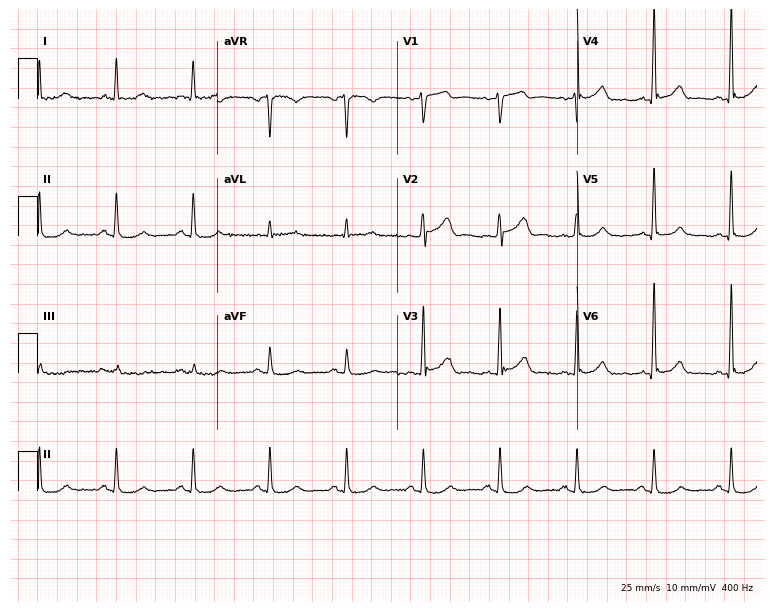
Standard 12-lead ECG recorded from an 81-year-old male patient (7.3-second recording at 400 Hz). Read as a normal ECG.